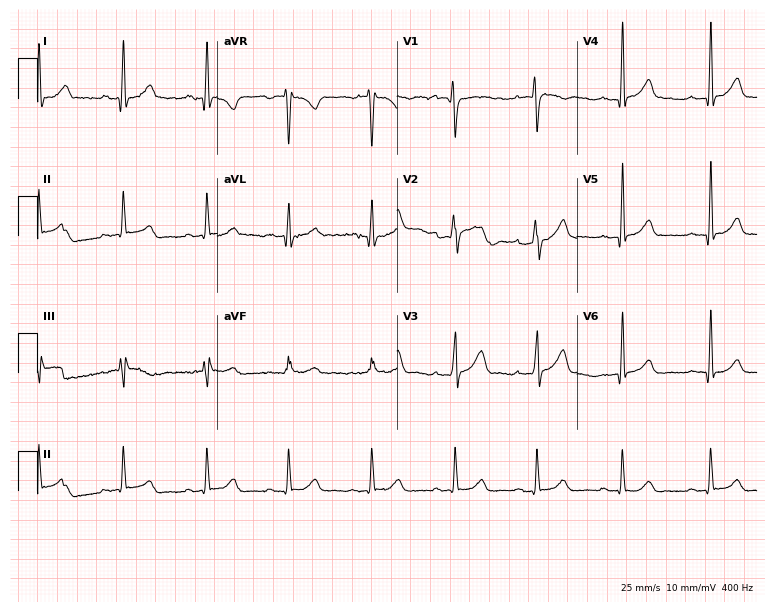
12-lead ECG from a 42-year-old woman. Labelled as a normal ECG.